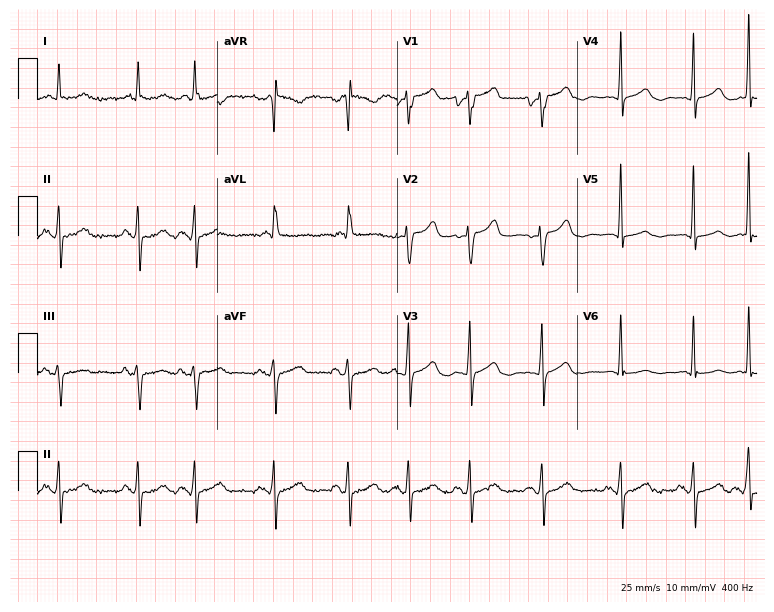
Electrocardiogram, a female, 80 years old. Of the six screened findings (first-degree AV block, right bundle branch block, left bundle branch block, sinus bradycardia, atrial fibrillation, sinus tachycardia), none is recorded. Only these six findings were labelled.